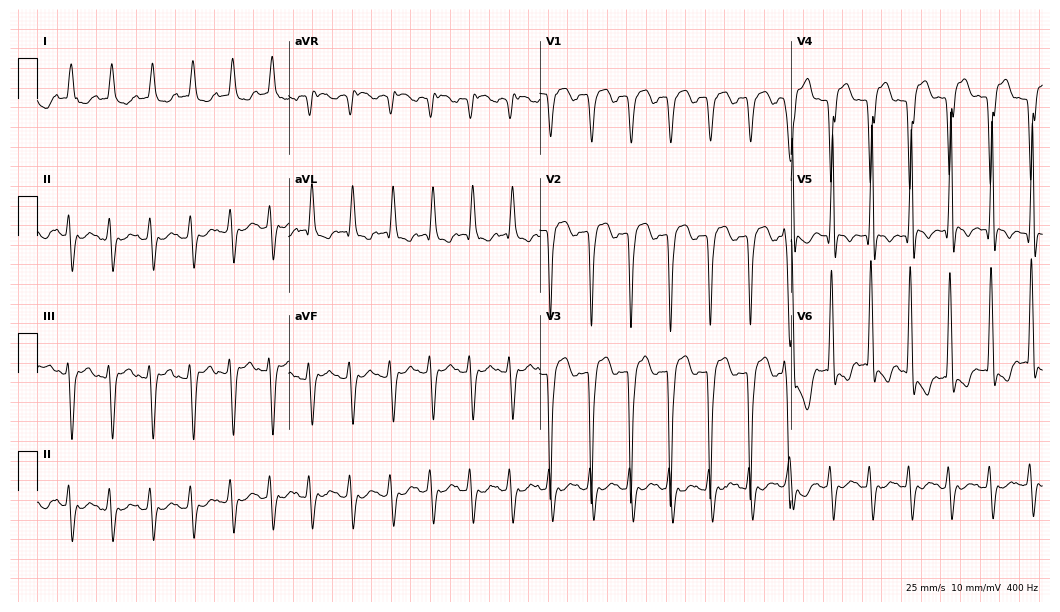
Electrocardiogram (10.2-second recording at 400 Hz), a male, 84 years old. Interpretation includes sinus tachycardia (a sinus rate of 100 beats per minute or more).